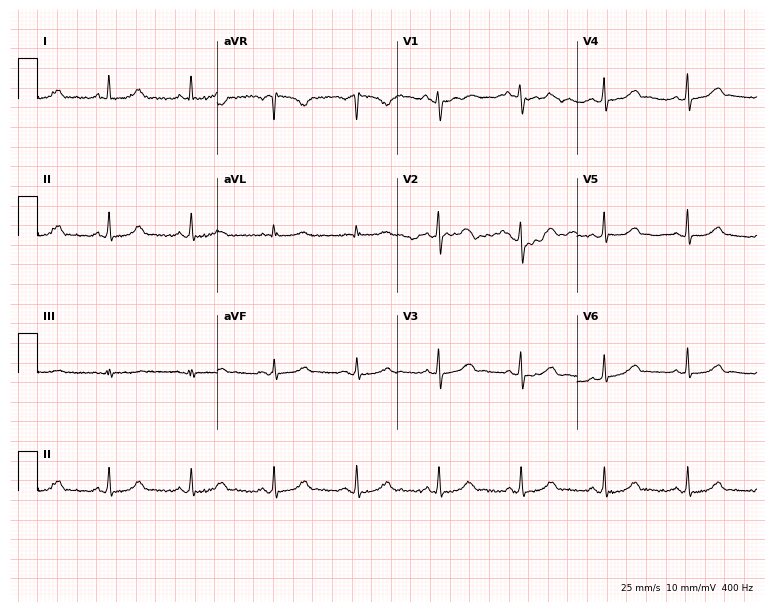
Standard 12-lead ECG recorded from a 57-year-old female (7.3-second recording at 400 Hz). Read as a normal ECG.